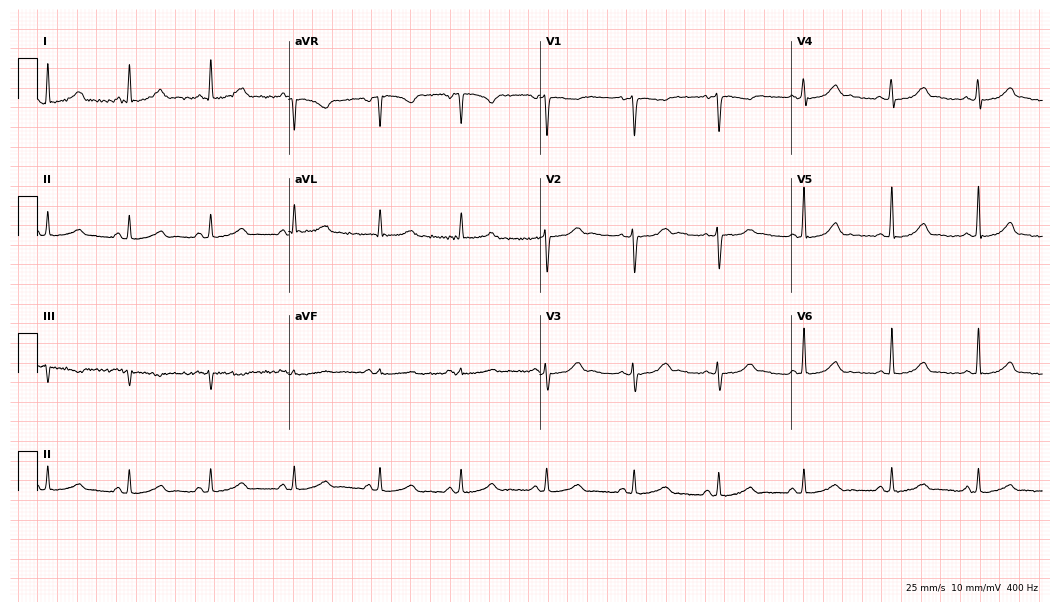
Resting 12-lead electrocardiogram. Patient: a female, 42 years old. Read as a normal ECG.